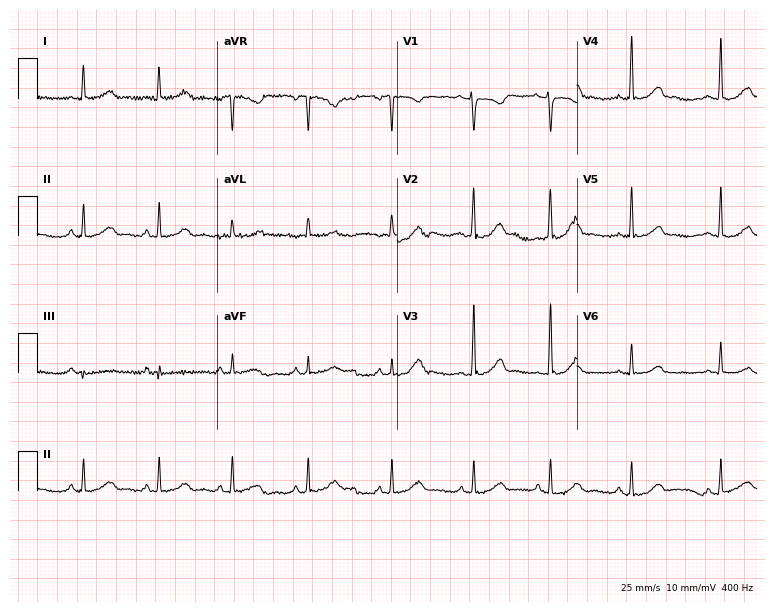
Standard 12-lead ECG recorded from a 34-year-old female patient. None of these six findings is recorded: first-degree AV block, right bundle branch block, left bundle branch block, sinus bradycardia, atrial fibrillation, sinus tachycardia.